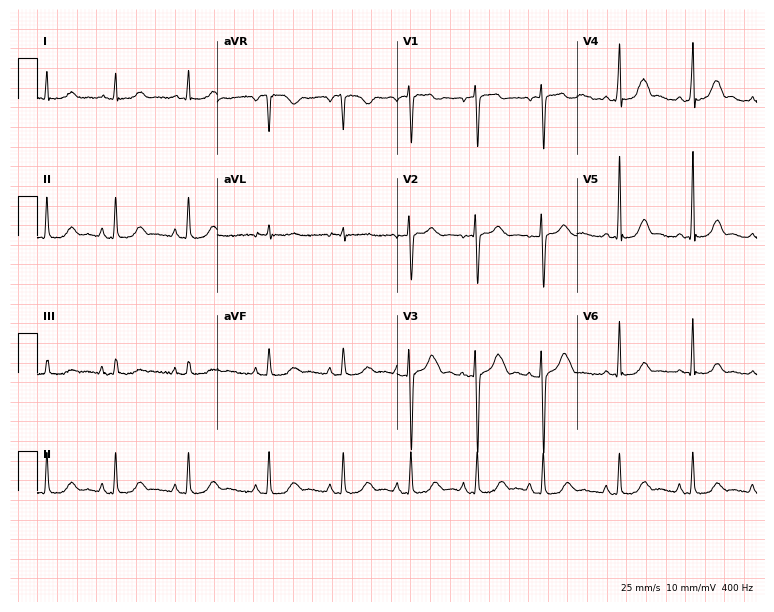
Resting 12-lead electrocardiogram. Patient: a female, 33 years old. Read as a normal ECG.